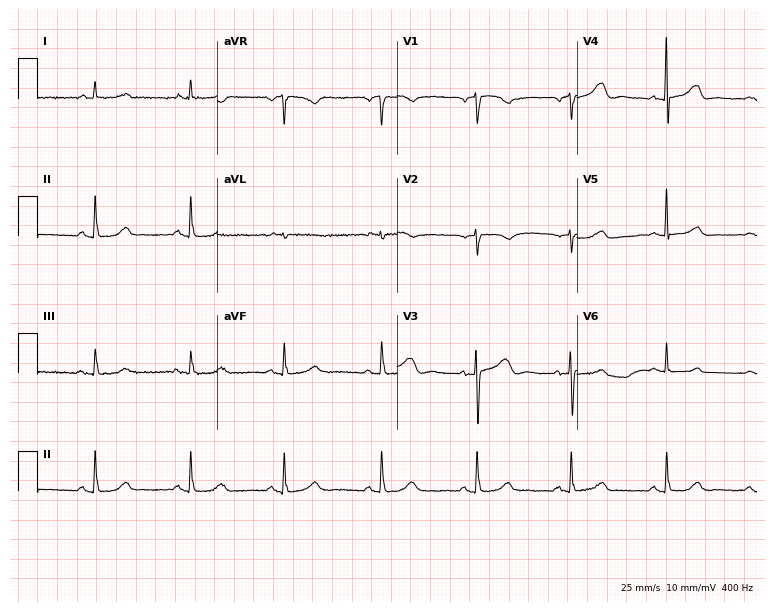
Standard 12-lead ECG recorded from a 79-year-old female. Read as a normal ECG.